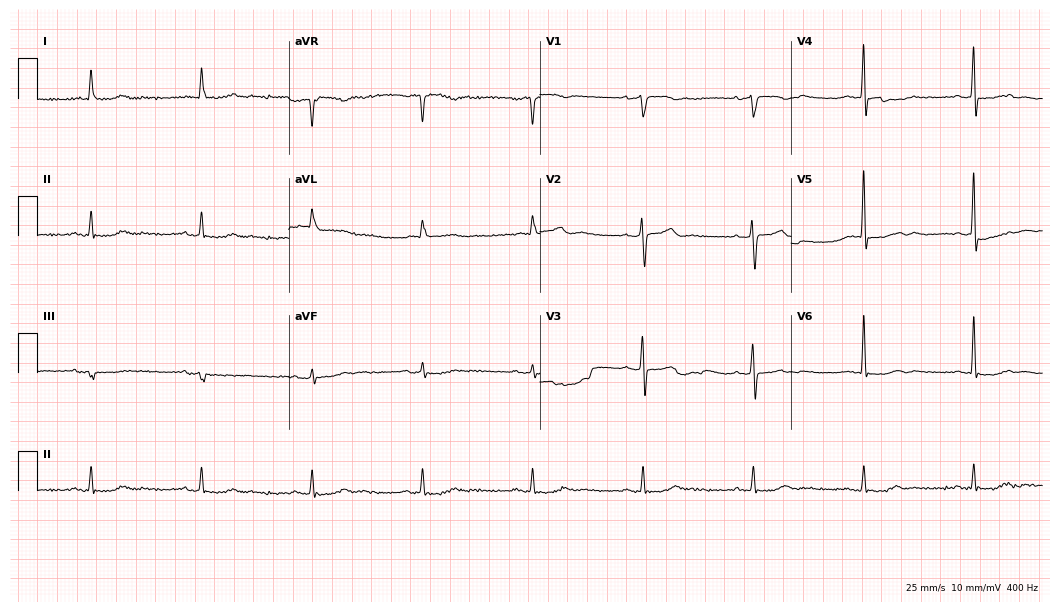
ECG (10.2-second recording at 400 Hz) — an 81-year-old male patient. Screened for six findings — first-degree AV block, right bundle branch block (RBBB), left bundle branch block (LBBB), sinus bradycardia, atrial fibrillation (AF), sinus tachycardia — none is recorded. Only these six findings were labelled.